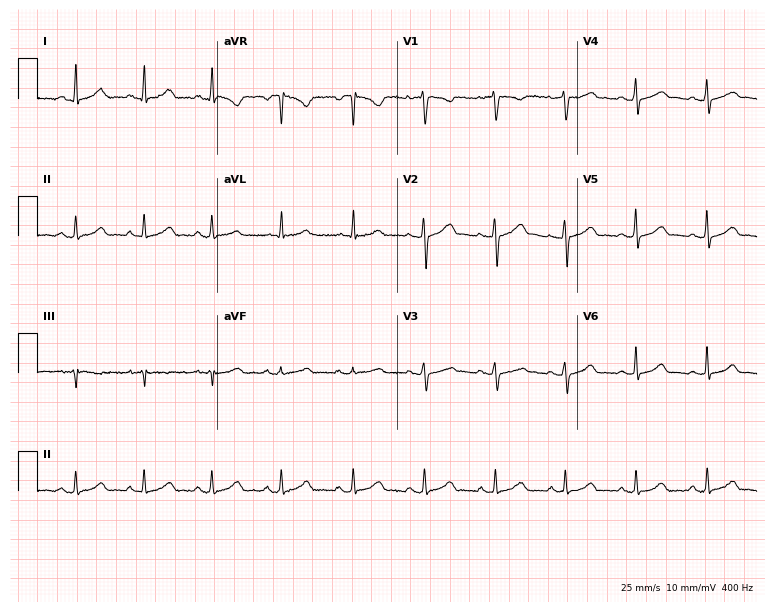
12-lead ECG from a 33-year-old female patient (7.3-second recording at 400 Hz). Recorded interpretation: within normal limits.